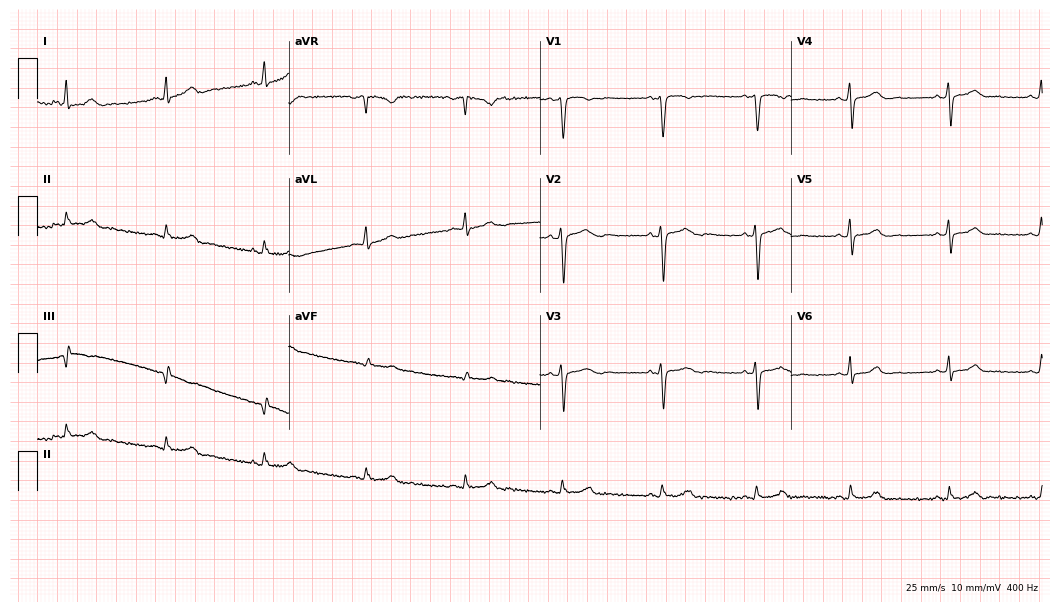
Standard 12-lead ECG recorded from a woman, 37 years old. Read as a normal ECG.